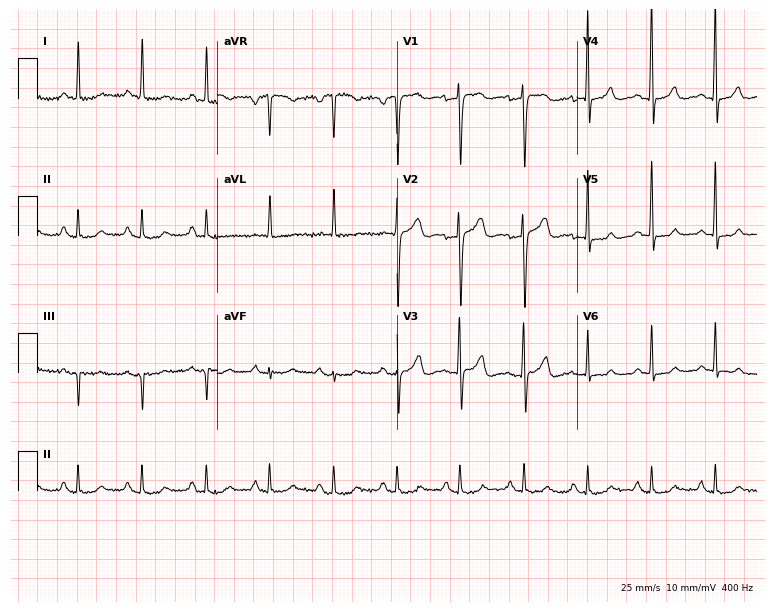
Resting 12-lead electrocardiogram. Patient: a female, 68 years old. None of these six findings is recorded: first-degree AV block, right bundle branch block (RBBB), left bundle branch block (LBBB), sinus bradycardia, atrial fibrillation (AF), sinus tachycardia. Only these six findings were labelled.